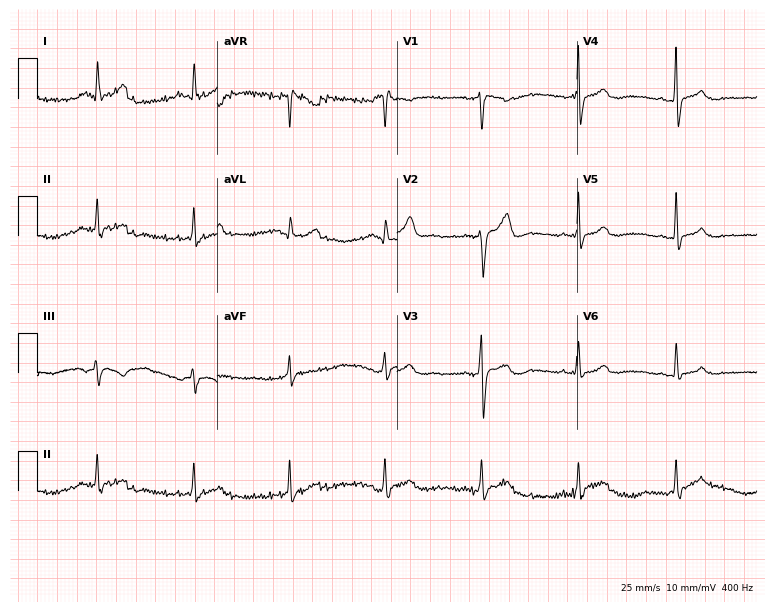
Standard 12-lead ECG recorded from a man, 45 years old (7.3-second recording at 400 Hz). Read as a normal ECG.